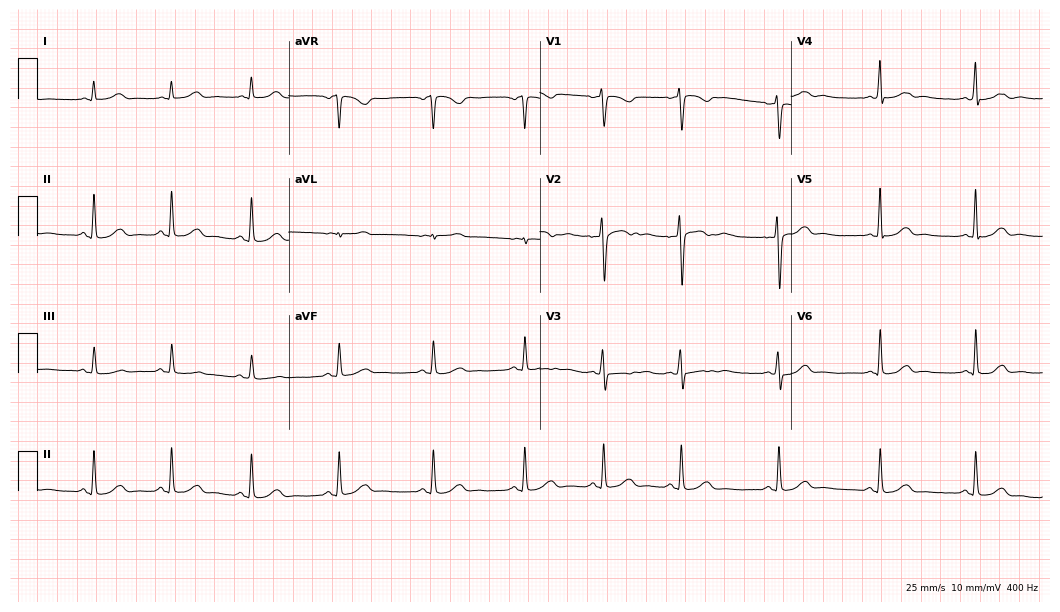
Electrocardiogram, a 37-year-old woman. Overall reading on record: normal ECG.